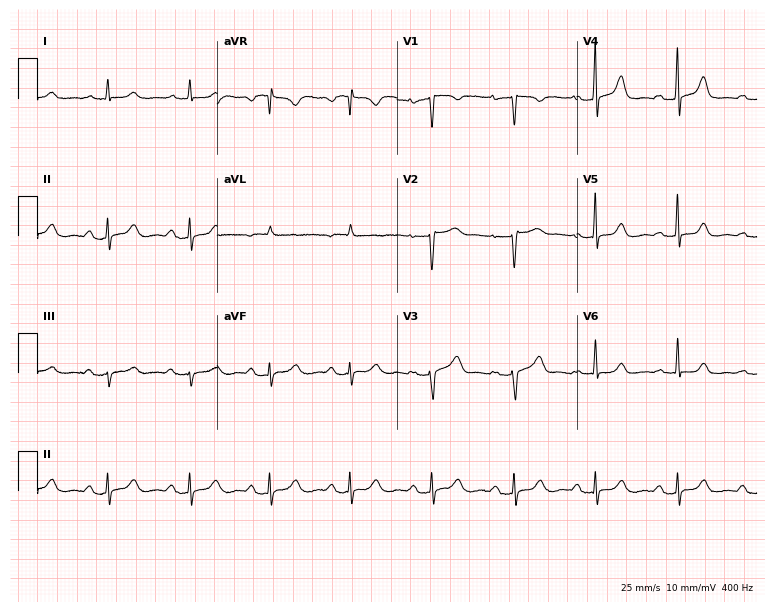
12-lead ECG (7.3-second recording at 400 Hz) from a female patient, 48 years old. Findings include first-degree AV block.